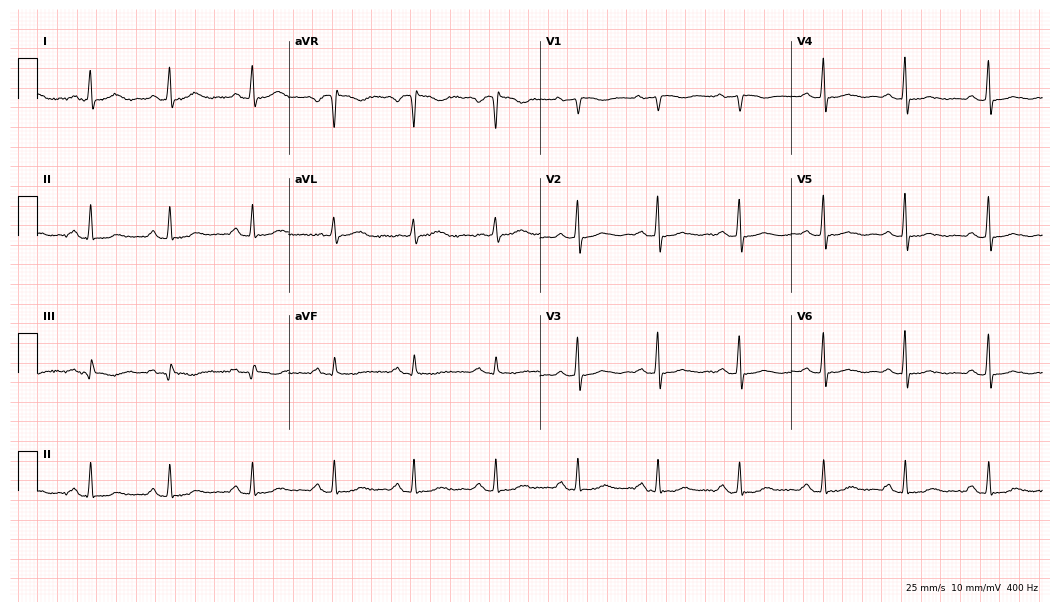
Resting 12-lead electrocardiogram (10.2-second recording at 400 Hz). Patient: a 65-year-old female. None of these six findings is recorded: first-degree AV block, right bundle branch block (RBBB), left bundle branch block (LBBB), sinus bradycardia, atrial fibrillation (AF), sinus tachycardia.